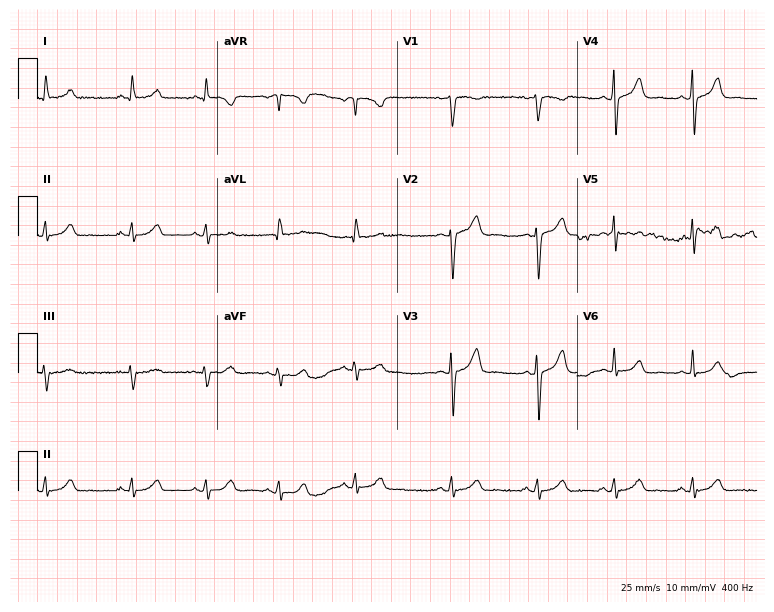
Electrocardiogram (7.3-second recording at 400 Hz), a 26-year-old female patient. Overall reading on record: normal ECG.